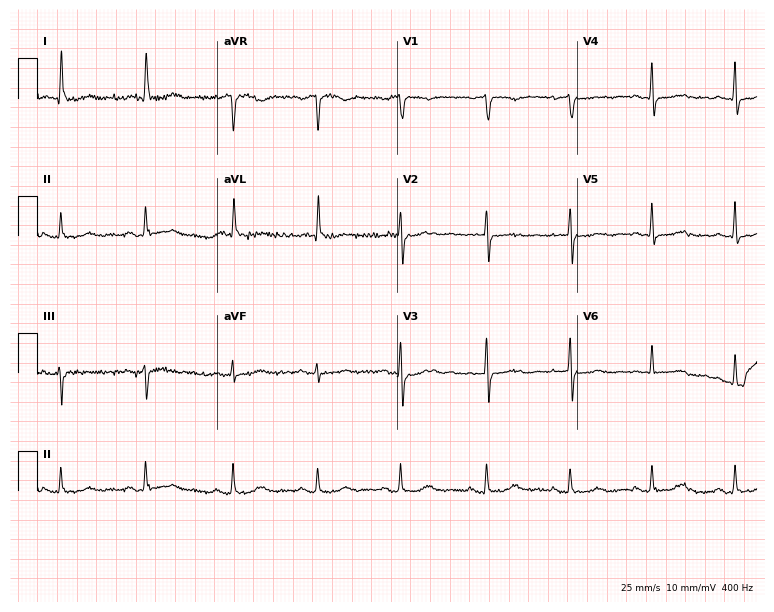
12-lead ECG from an 82-year-old woman (7.3-second recording at 400 Hz). No first-degree AV block, right bundle branch block, left bundle branch block, sinus bradycardia, atrial fibrillation or sinus tachycardia recorded for this tracing.